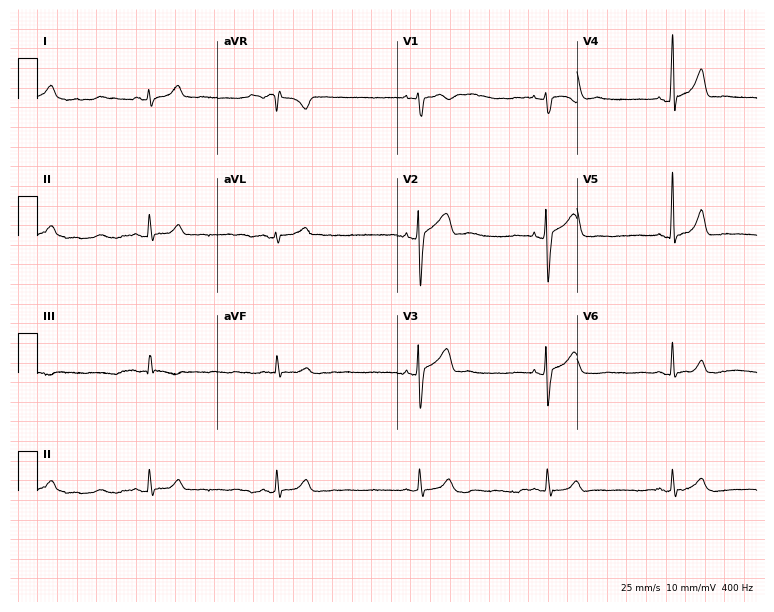
12-lead ECG from a man, 24 years old. Shows sinus bradycardia (a sinus rate of 50 beats per minute or less).